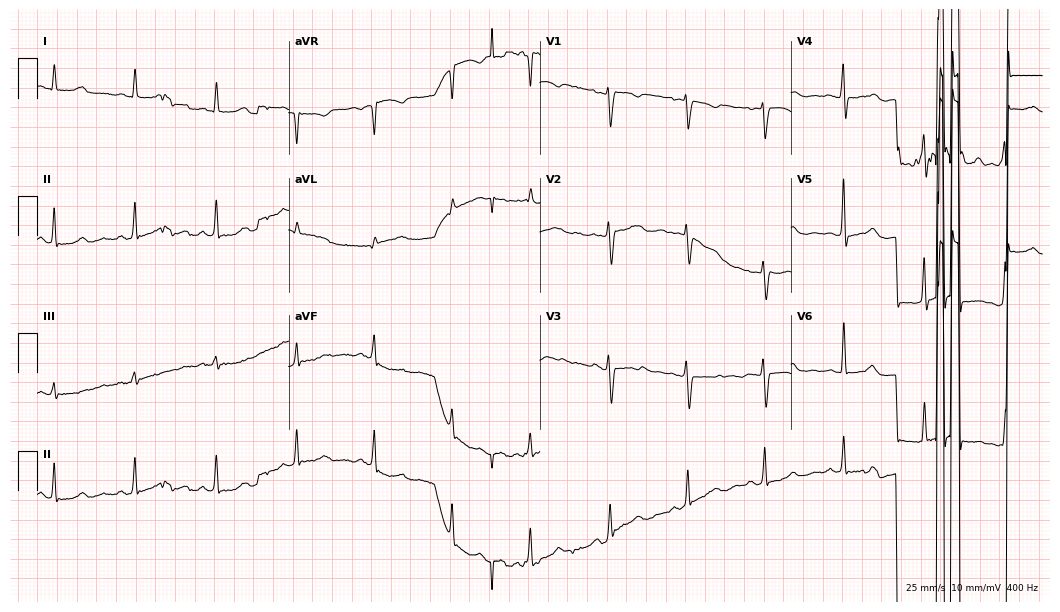
Electrocardiogram, a 65-year-old man. Of the six screened findings (first-degree AV block, right bundle branch block (RBBB), left bundle branch block (LBBB), sinus bradycardia, atrial fibrillation (AF), sinus tachycardia), none is recorded.